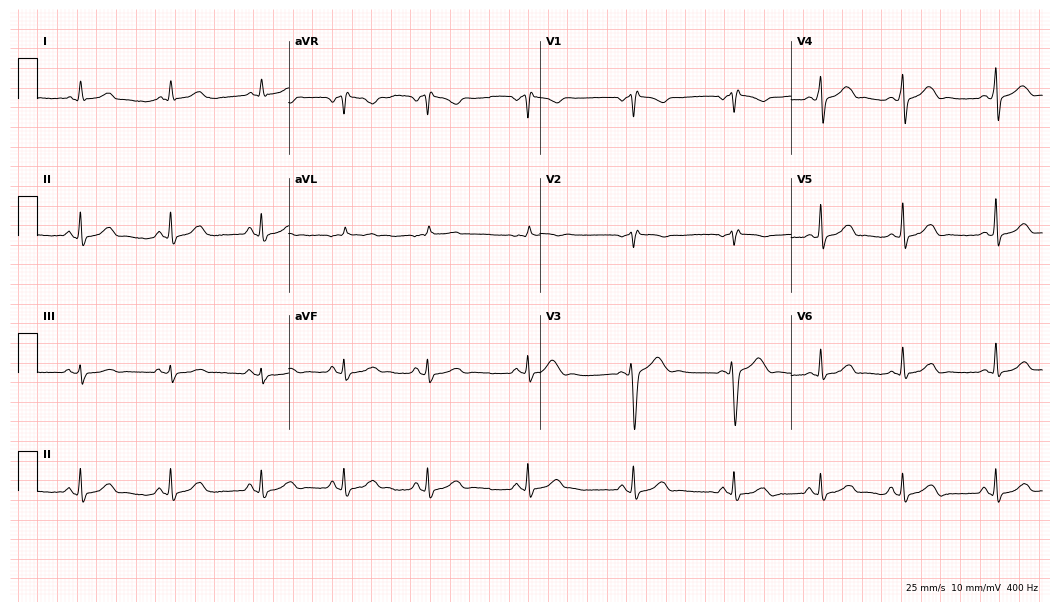
Standard 12-lead ECG recorded from a 43-year-old female patient (10.2-second recording at 400 Hz). None of these six findings is recorded: first-degree AV block, right bundle branch block, left bundle branch block, sinus bradycardia, atrial fibrillation, sinus tachycardia.